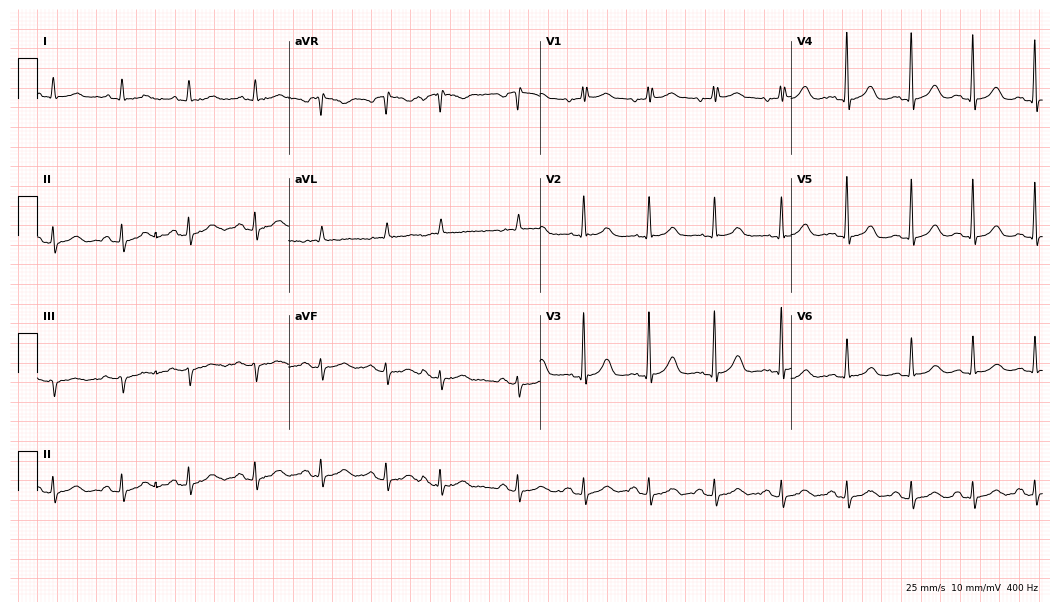
Resting 12-lead electrocardiogram (10.2-second recording at 400 Hz). Patient: a 75-year-old woman. None of these six findings is recorded: first-degree AV block, right bundle branch block, left bundle branch block, sinus bradycardia, atrial fibrillation, sinus tachycardia. Findings outside these six are not listed.